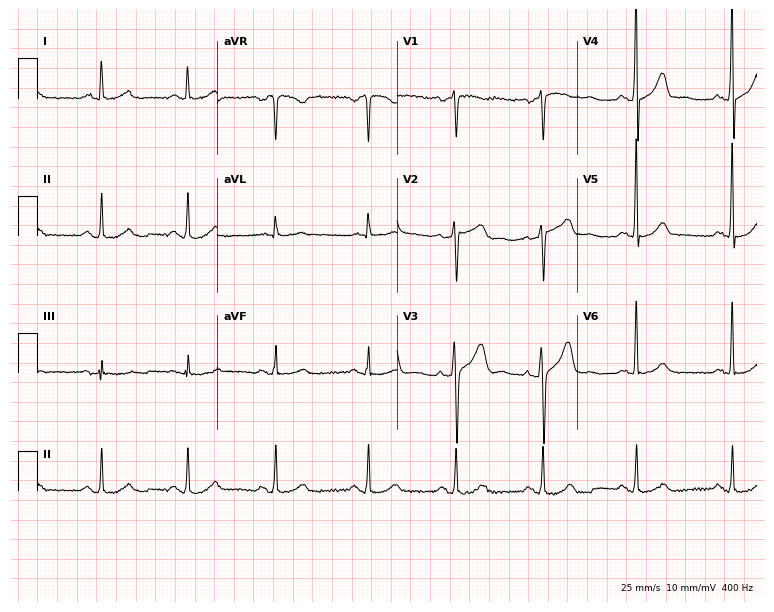
Resting 12-lead electrocardiogram. Patient: a 57-year-old female. Read as a normal ECG.